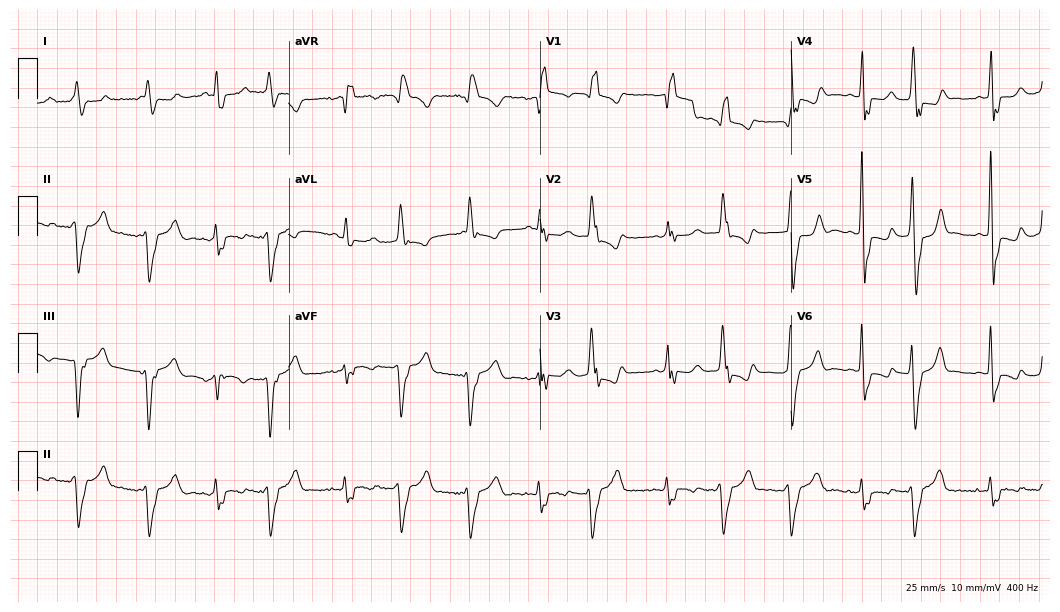
12-lead ECG from an 85-year-old female. Findings include right bundle branch block.